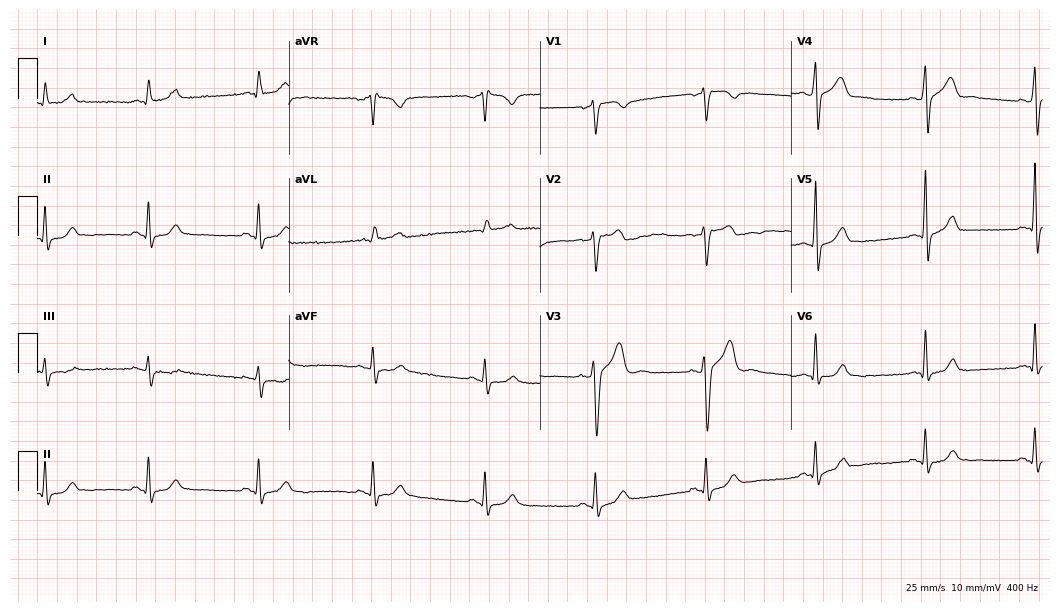
12-lead ECG from a man, 49 years old. No first-degree AV block, right bundle branch block, left bundle branch block, sinus bradycardia, atrial fibrillation or sinus tachycardia recorded for this tracing. Findings outside these six are not listed.